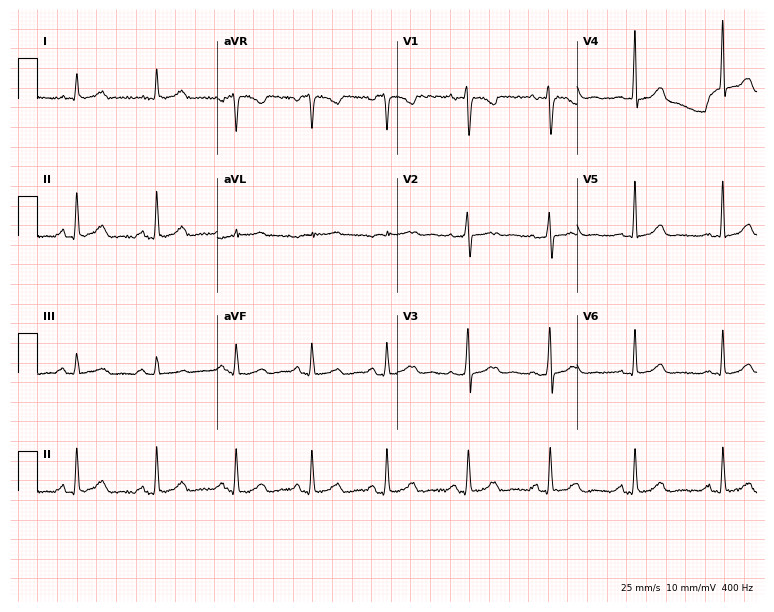
Electrocardiogram (7.3-second recording at 400 Hz), a woman, 32 years old. Of the six screened findings (first-degree AV block, right bundle branch block, left bundle branch block, sinus bradycardia, atrial fibrillation, sinus tachycardia), none is recorded.